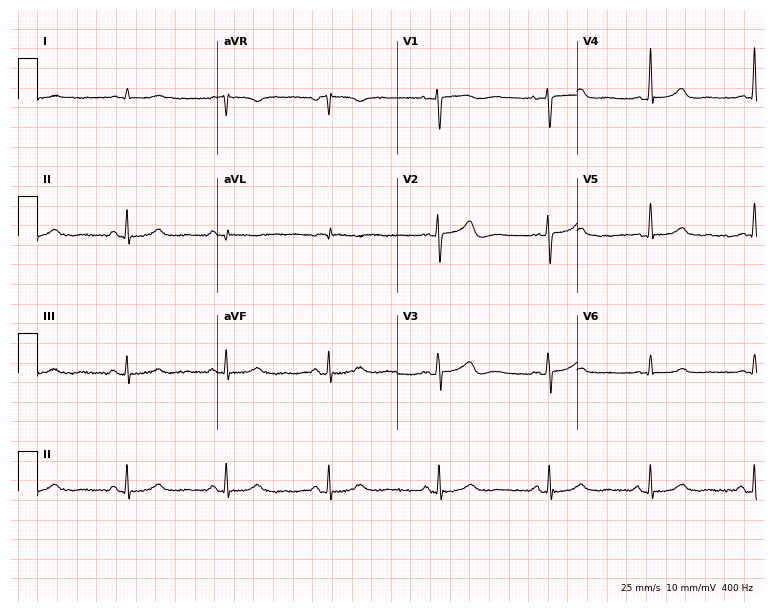
12-lead ECG from a female, 43 years old. Labelled as a normal ECG.